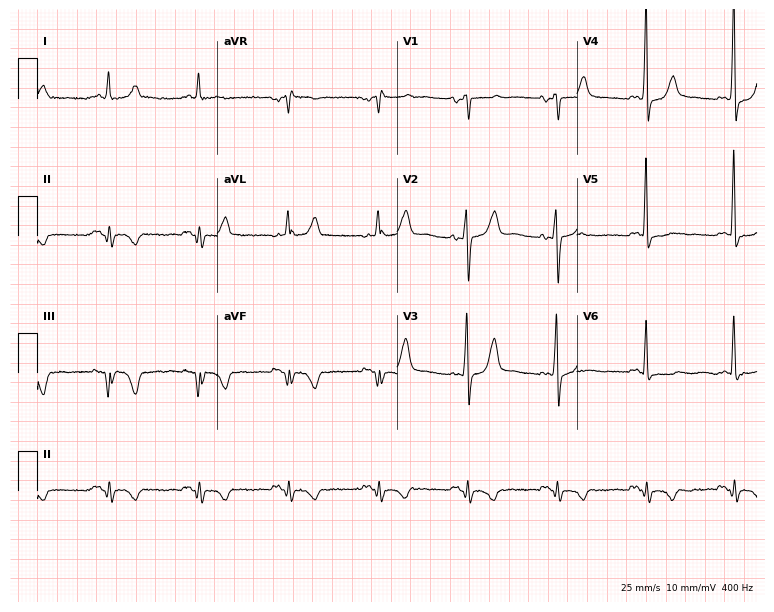
Standard 12-lead ECG recorded from a 61-year-old woman. None of these six findings is recorded: first-degree AV block, right bundle branch block, left bundle branch block, sinus bradycardia, atrial fibrillation, sinus tachycardia. Only these six findings were labelled.